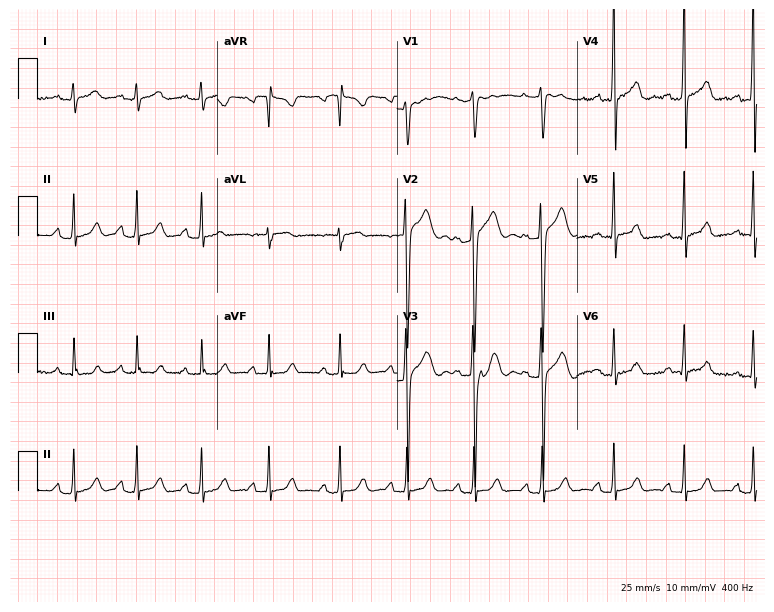
Standard 12-lead ECG recorded from a male, 37 years old. None of these six findings is recorded: first-degree AV block, right bundle branch block, left bundle branch block, sinus bradycardia, atrial fibrillation, sinus tachycardia.